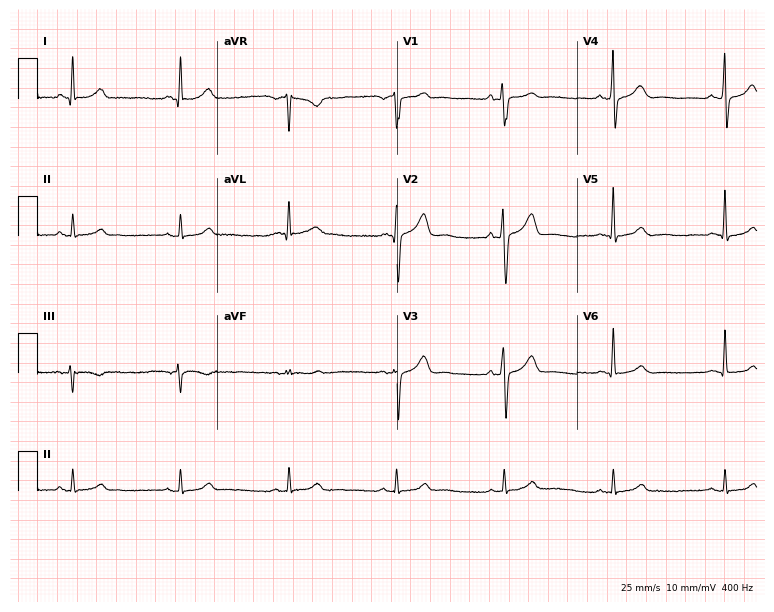
12-lead ECG from a 56-year-old male patient. Screened for six findings — first-degree AV block, right bundle branch block (RBBB), left bundle branch block (LBBB), sinus bradycardia, atrial fibrillation (AF), sinus tachycardia — none is recorded.